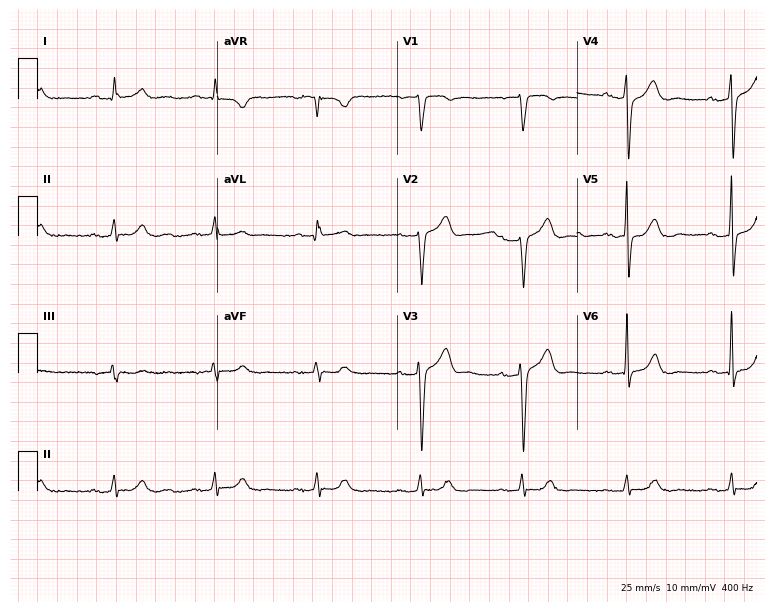
12-lead ECG (7.3-second recording at 400 Hz) from a 64-year-old man. Labelled as a normal ECG.